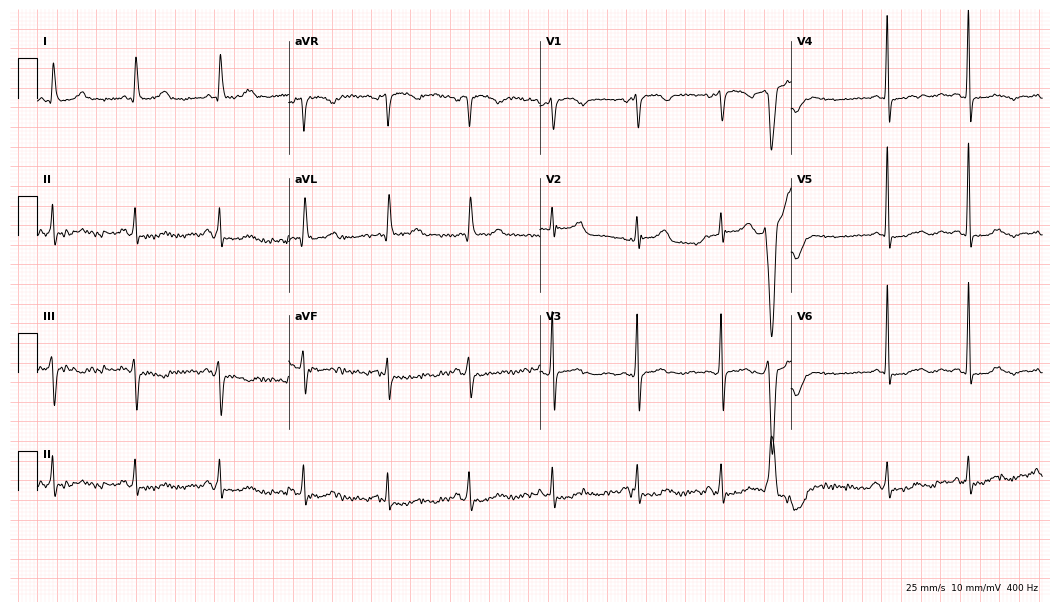
ECG — a female patient, 75 years old. Screened for six findings — first-degree AV block, right bundle branch block, left bundle branch block, sinus bradycardia, atrial fibrillation, sinus tachycardia — none is recorded. Findings outside these six are not listed.